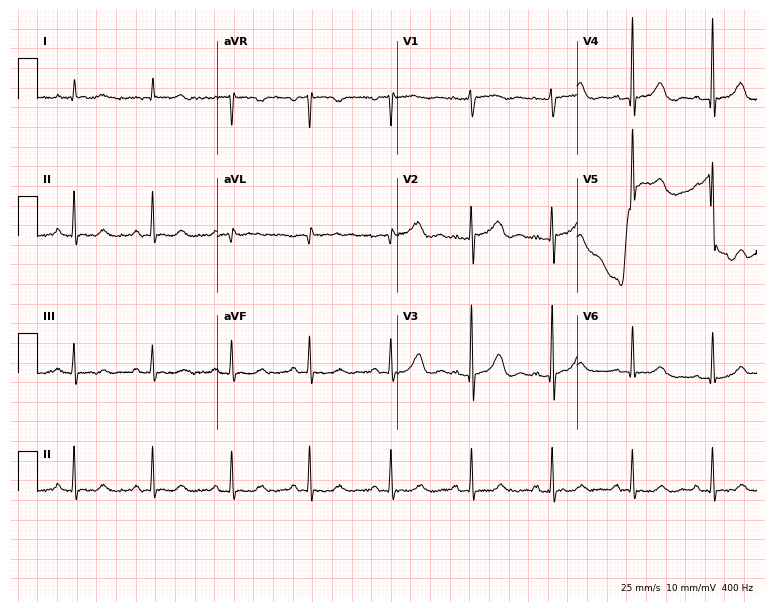
Standard 12-lead ECG recorded from a female, 80 years old (7.3-second recording at 400 Hz). None of these six findings is recorded: first-degree AV block, right bundle branch block (RBBB), left bundle branch block (LBBB), sinus bradycardia, atrial fibrillation (AF), sinus tachycardia.